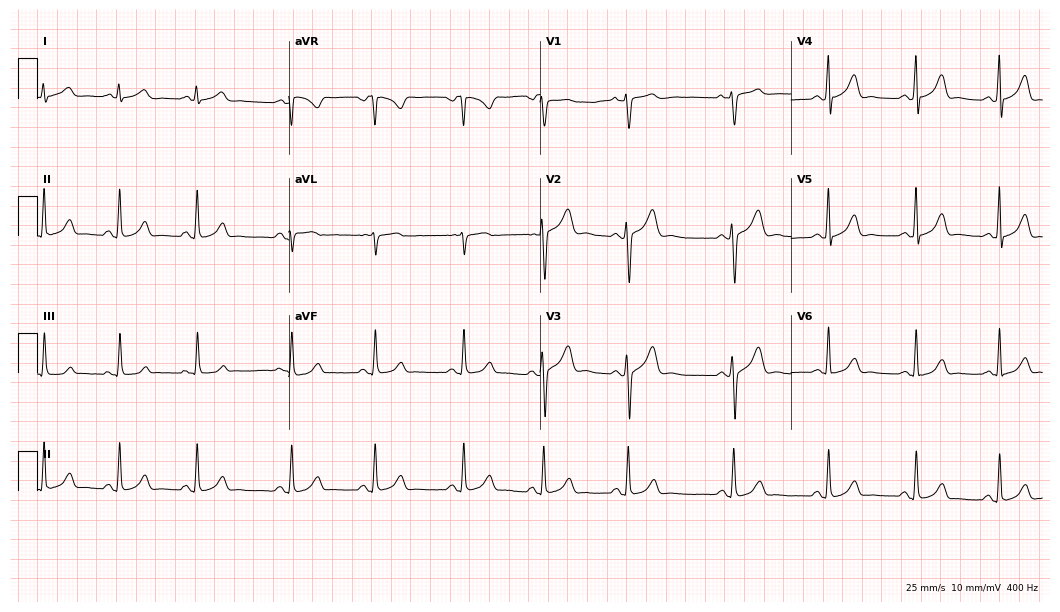
12-lead ECG from a 31-year-old female patient. Labelled as a normal ECG.